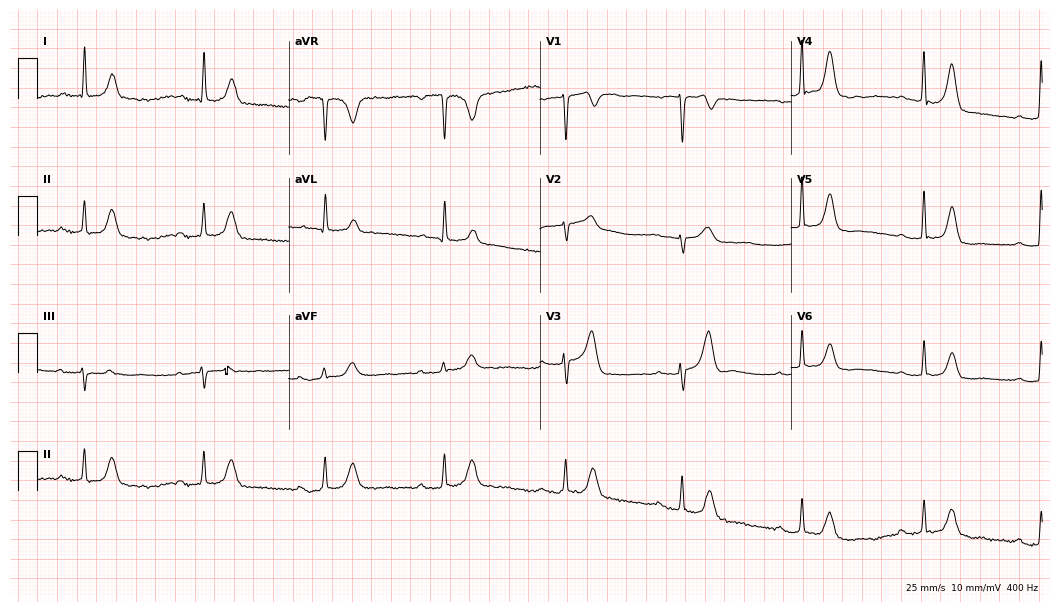
ECG (10.2-second recording at 400 Hz) — a female, 74 years old. Findings include first-degree AV block, sinus bradycardia (a sinus rate of 50 beats per minute or less), atrial fibrillation (AF).